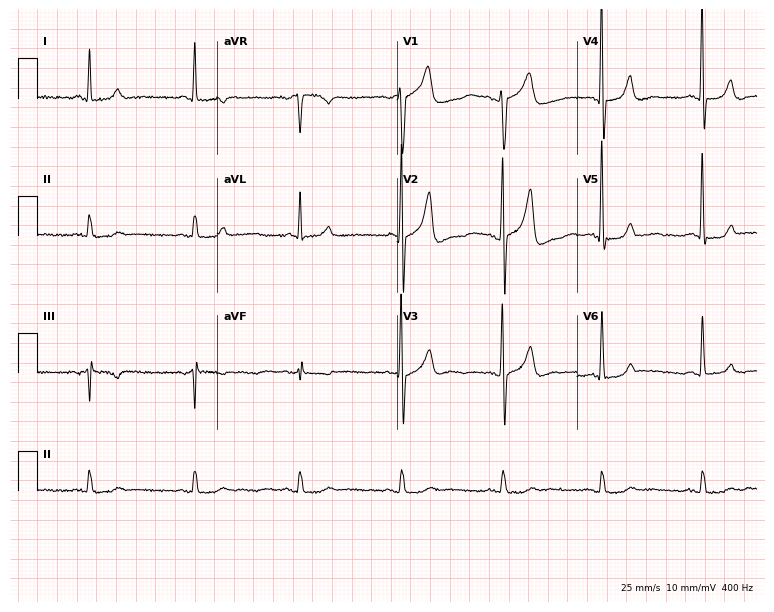
Standard 12-lead ECG recorded from a man, 78 years old. None of these six findings is recorded: first-degree AV block, right bundle branch block (RBBB), left bundle branch block (LBBB), sinus bradycardia, atrial fibrillation (AF), sinus tachycardia. Only these six findings were labelled.